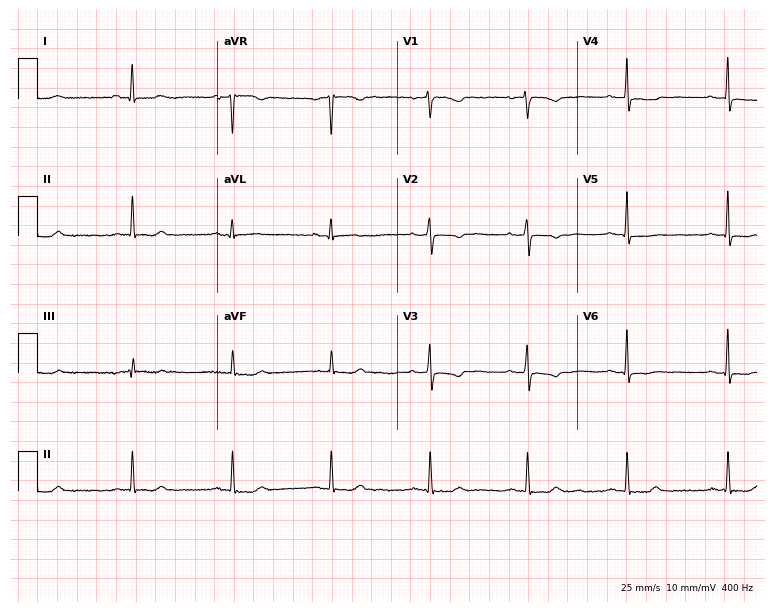
Electrocardiogram, a 53-year-old female. Of the six screened findings (first-degree AV block, right bundle branch block (RBBB), left bundle branch block (LBBB), sinus bradycardia, atrial fibrillation (AF), sinus tachycardia), none is recorded.